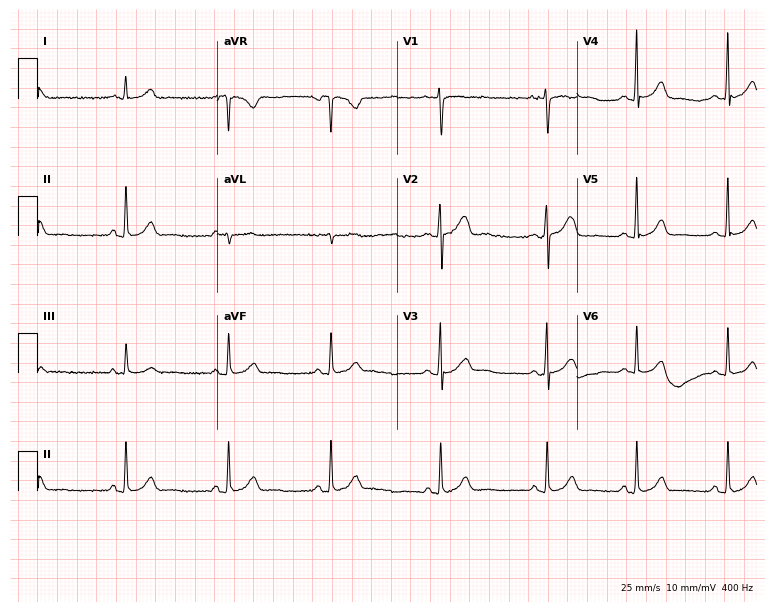
ECG (7.3-second recording at 400 Hz) — a female, 19 years old. Labelled as a normal ECG.